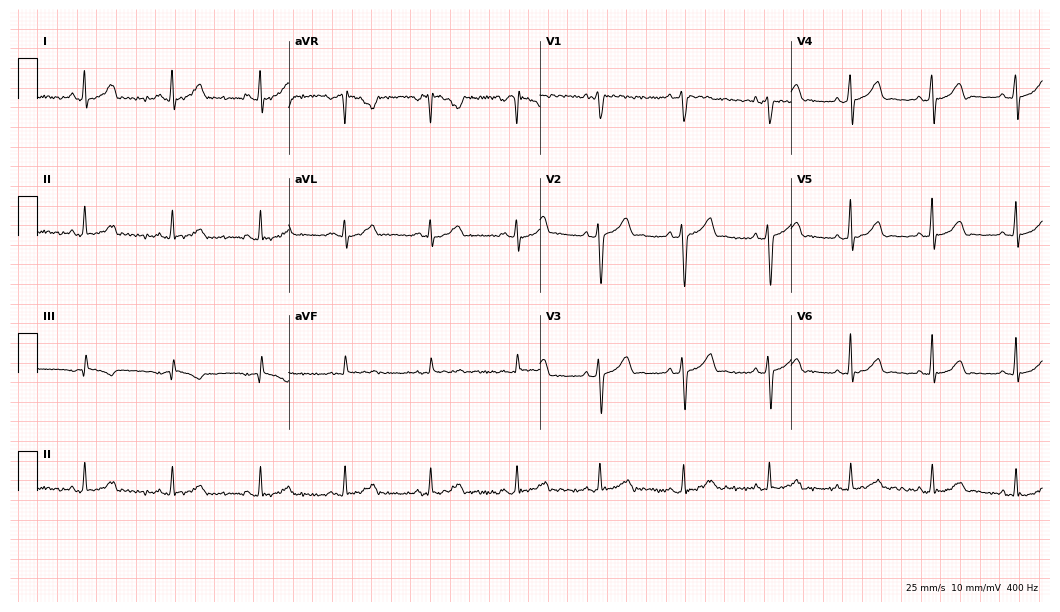
Standard 12-lead ECG recorded from a female, 36 years old. Read as a normal ECG.